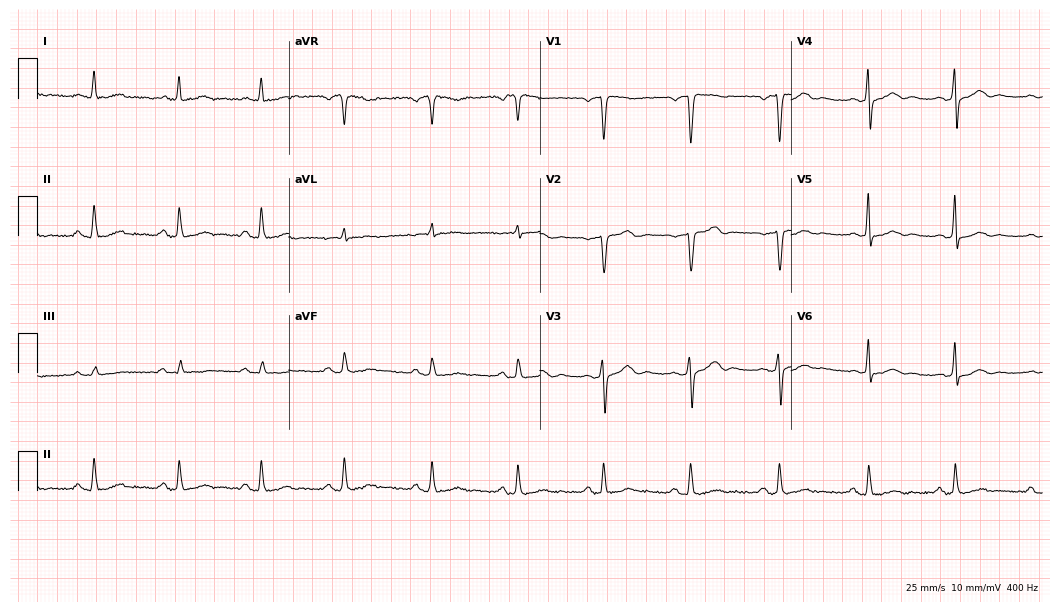
12-lead ECG from a male patient, 51 years old. Recorded interpretation: within normal limits.